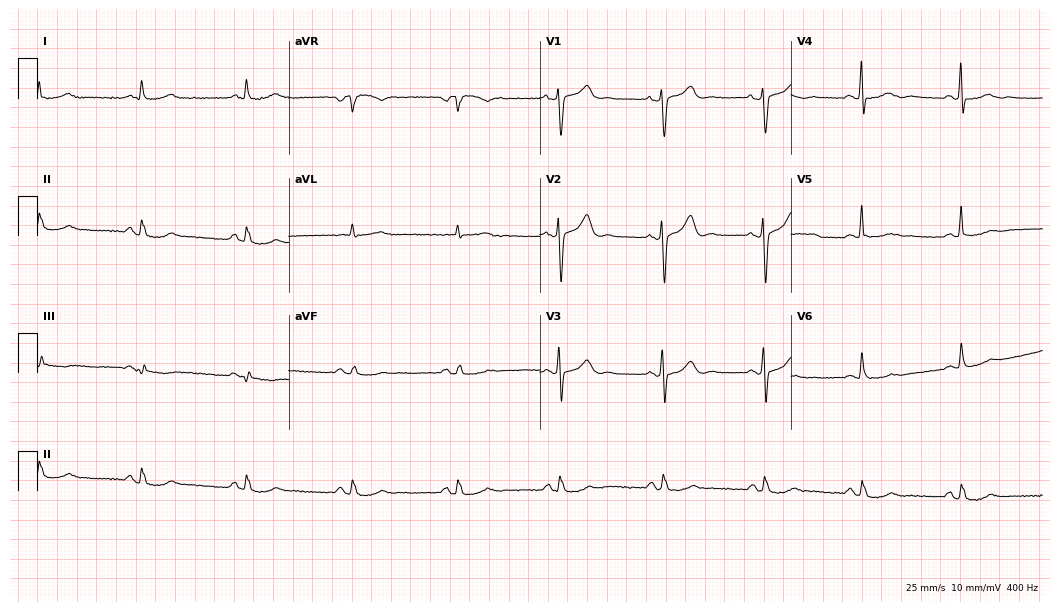
12-lead ECG from a man, 70 years old. Screened for six findings — first-degree AV block, right bundle branch block, left bundle branch block, sinus bradycardia, atrial fibrillation, sinus tachycardia — none is recorded. Only these six findings were labelled.